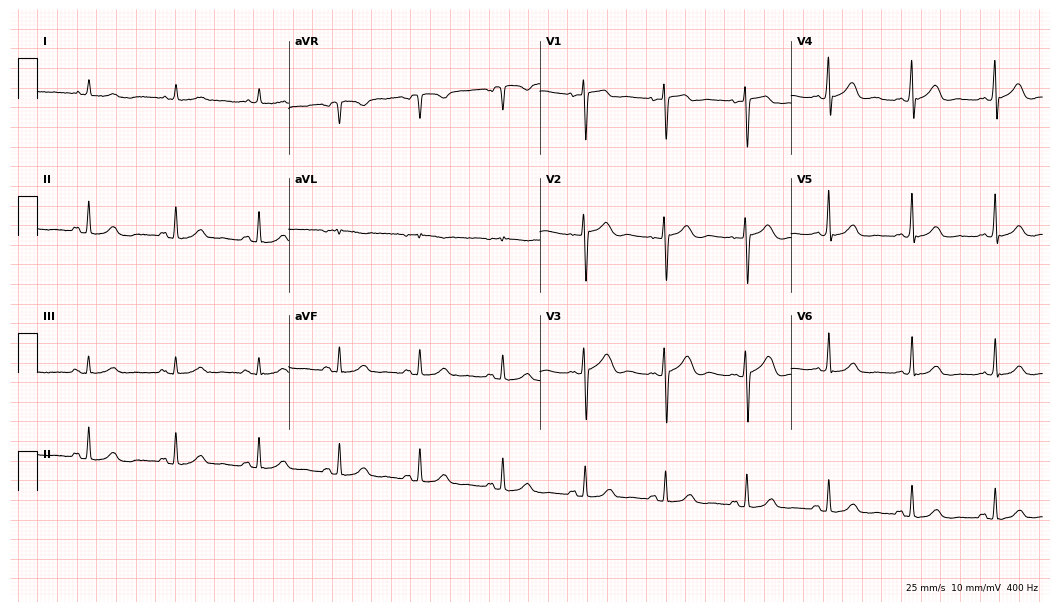
12-lead ECG from a 67-year-old female. Labelled as a normal ECG.